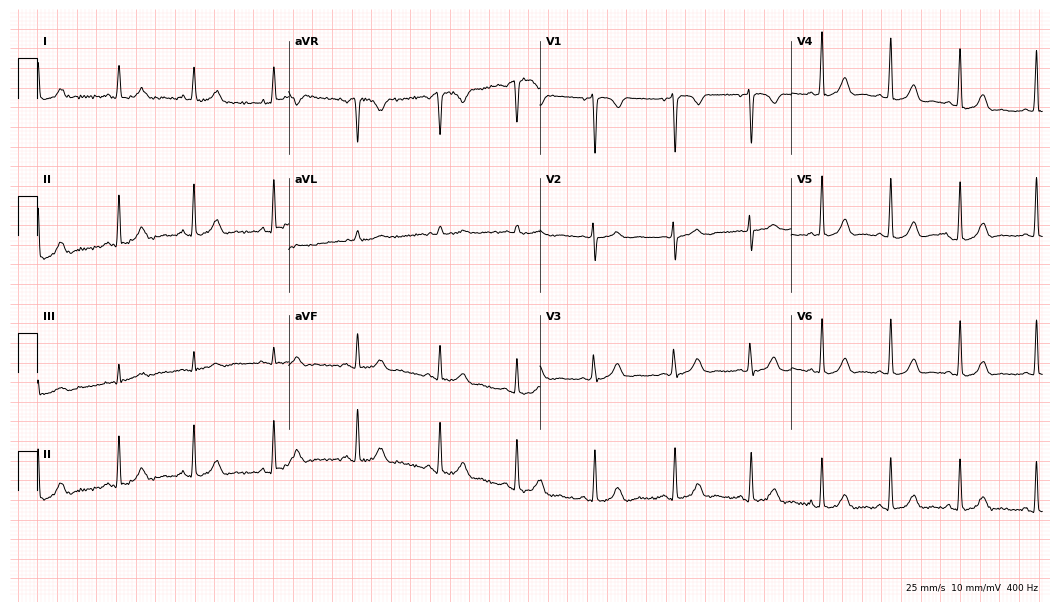
Resting 12-lead electrocardiogram (10.2-second recording at 400 Hz). Patient: a 26-year-old female. Read as a normal ECG.